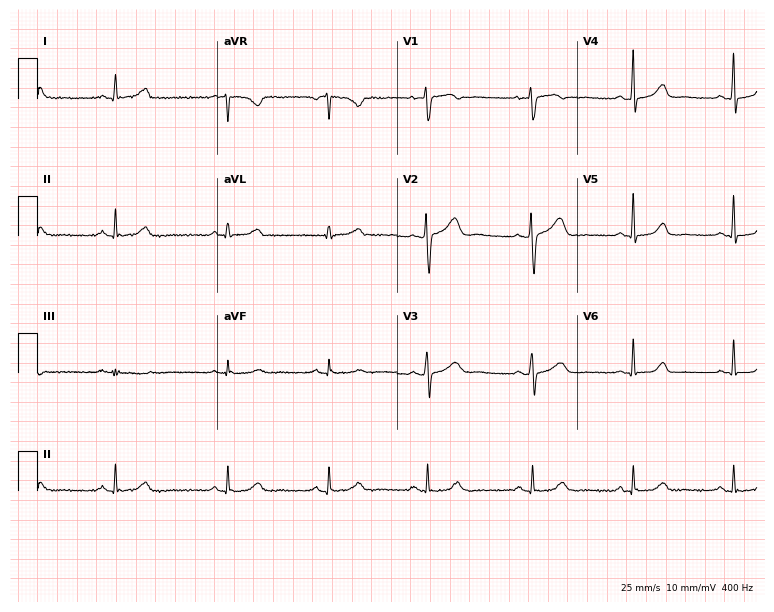
12-lead ECG from a female patient, 32 years old. Labelled as a normal ECG.